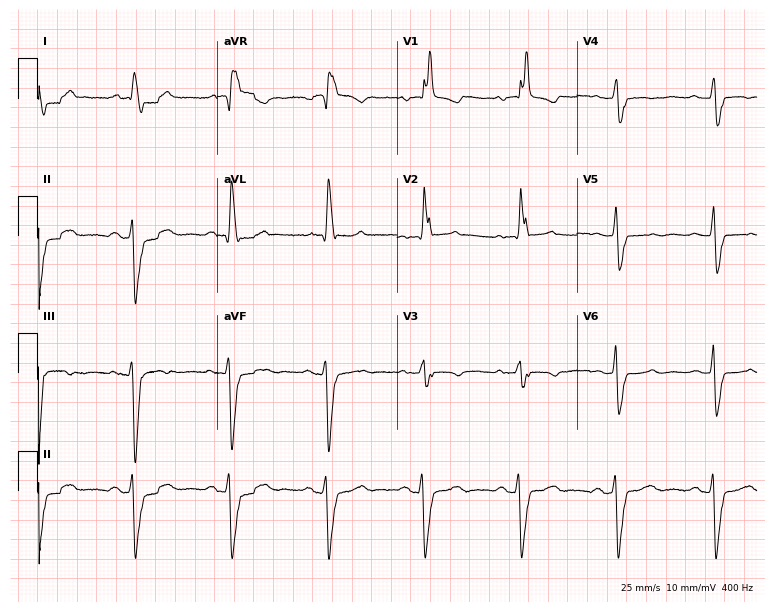
Standard 12-lead ECG recorded from a 71-year-old woman (7.3-second recording at 400 Hz). The tracing shows right bundle branch block, left bundle branch block.